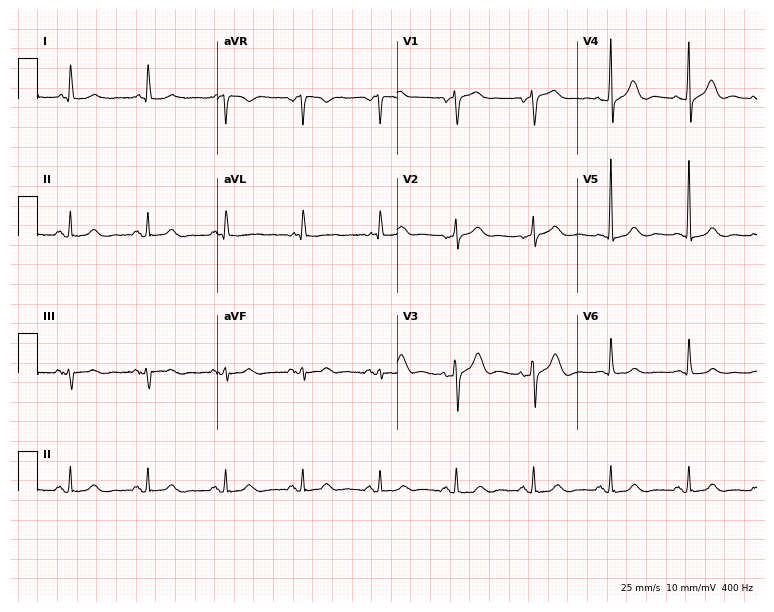
Electrocardiogram (7.3-second recording at 400 Hz), an 85-year-old female patient. Of the six screened findings (first-degree AV block, right bundle branch block (RBBB), left bundle branch block (LBBB), sinus bradycardia, atrial fibrillation (AF), sinus tachycardia), none is recorded.